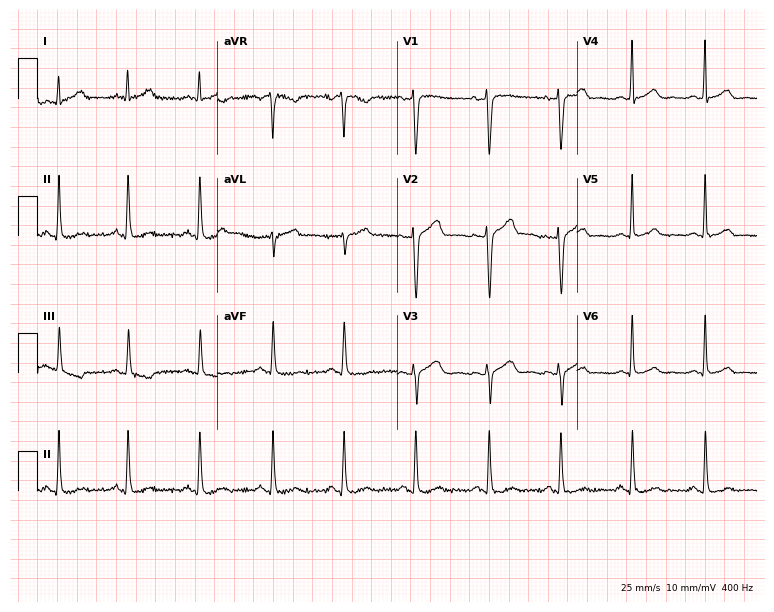
Resting 12-lead electrocardiogram. Patient: a woman, 34 years old. None of these six findings is recorded: first-degree AV block, right bundle branch block, left bundle branch block, sinus bradycardia, atrial fibrillation, sinus tachycardia. Findings outside these six are not listed.